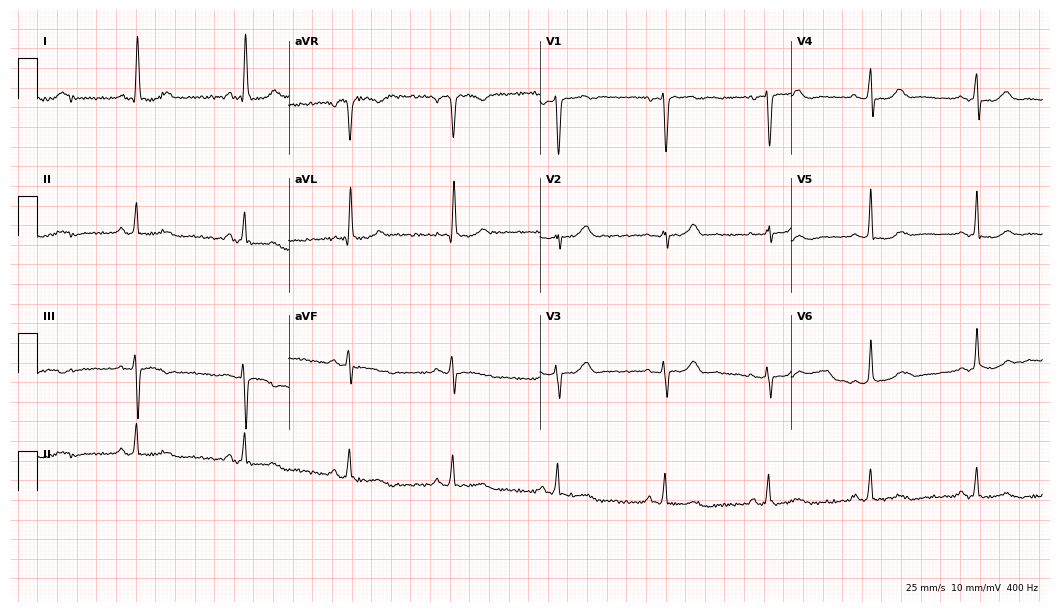
Standard 12-lead ECG recorded from a 69-year-old woman (10.2-second recording at 400 Hz). Read as a normal ECG.